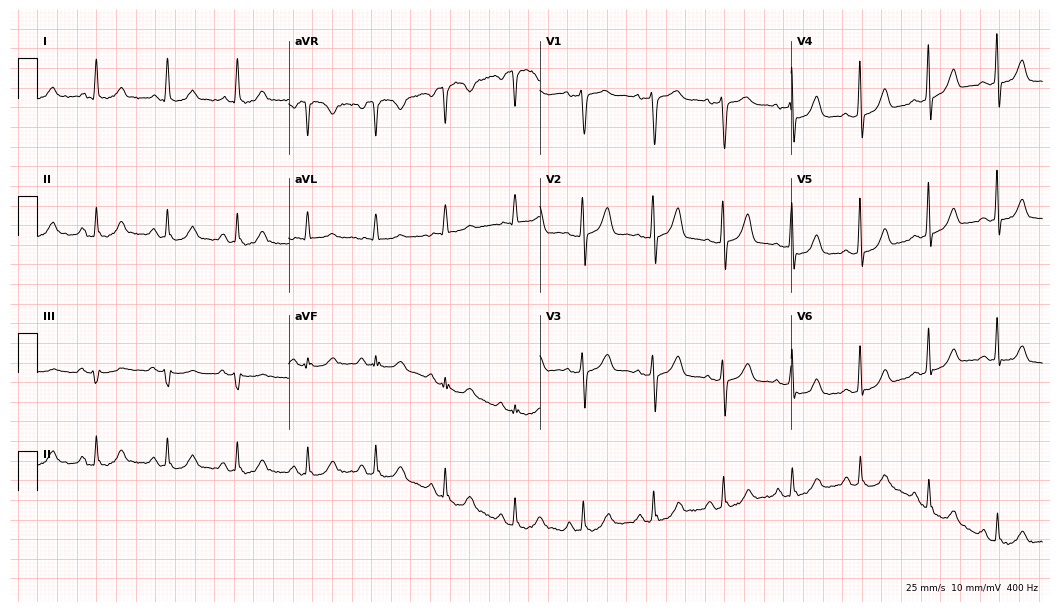
12-lead ECG from a 60-year-old female. Labelled as a normal ECG.